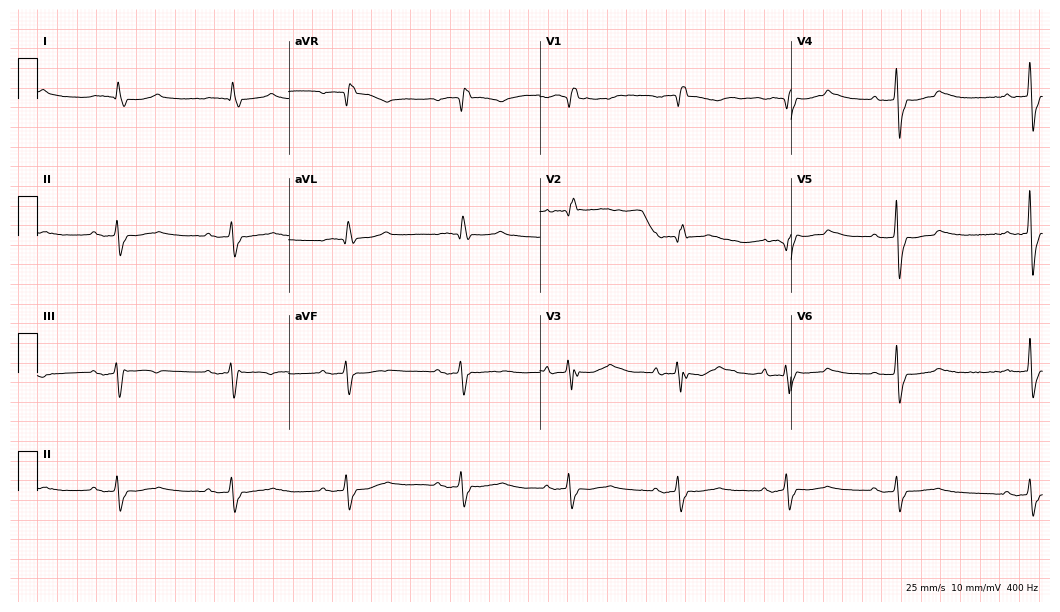
12-lead ECG from a male, 84 years old (10.2-second recording at 400 Hz). No first-degree AV block, right bundle branch block, left bundle branch block, sinus bradycardia, atrial fibrillation or sinus tachycardia recorded for this tracing.